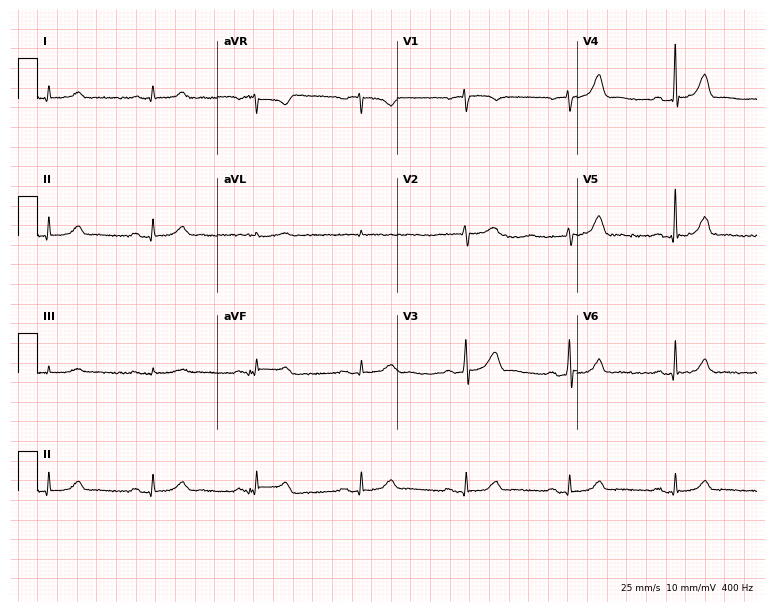
Electrocardiogram, a 78-year-old man. Overall reading on record: normal ECG.